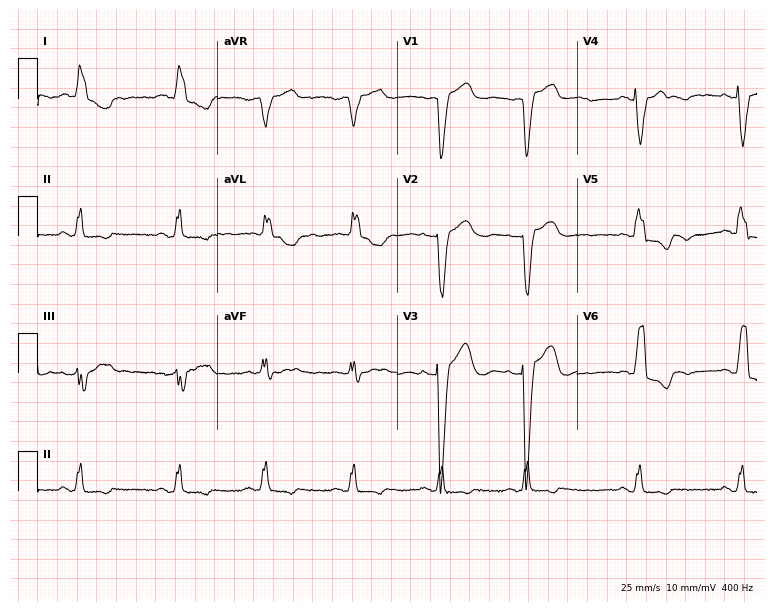
12-lead ECG (7.3-second recording at 400 Hz) from a female patient, 75 years old. Screened for six findings — first-degree AV block, right bundle branch block, left bundle branch block, sinus bradycardia, atrial fibrillation, sinus tachycardia — none is recorded. Findings outside these six are not listed.